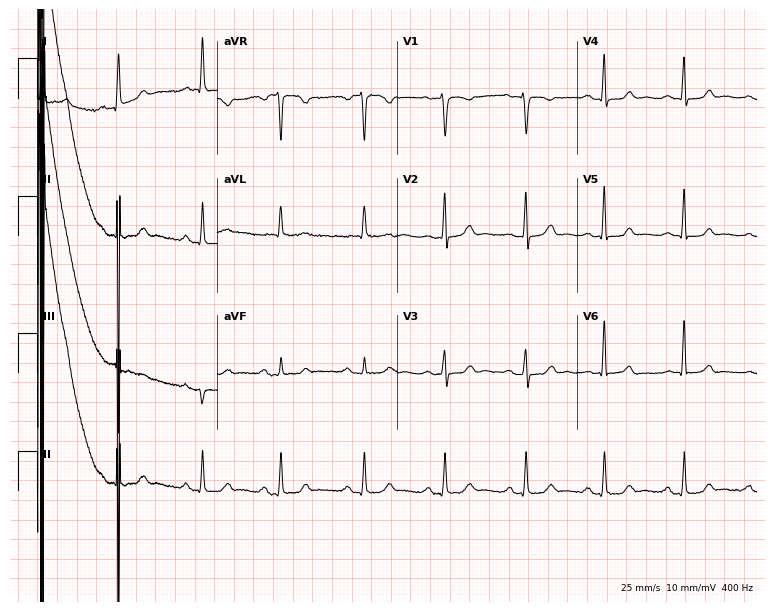
12-lead ECG from a 50-year-old woman. Recorded interpretation: within normal limits.